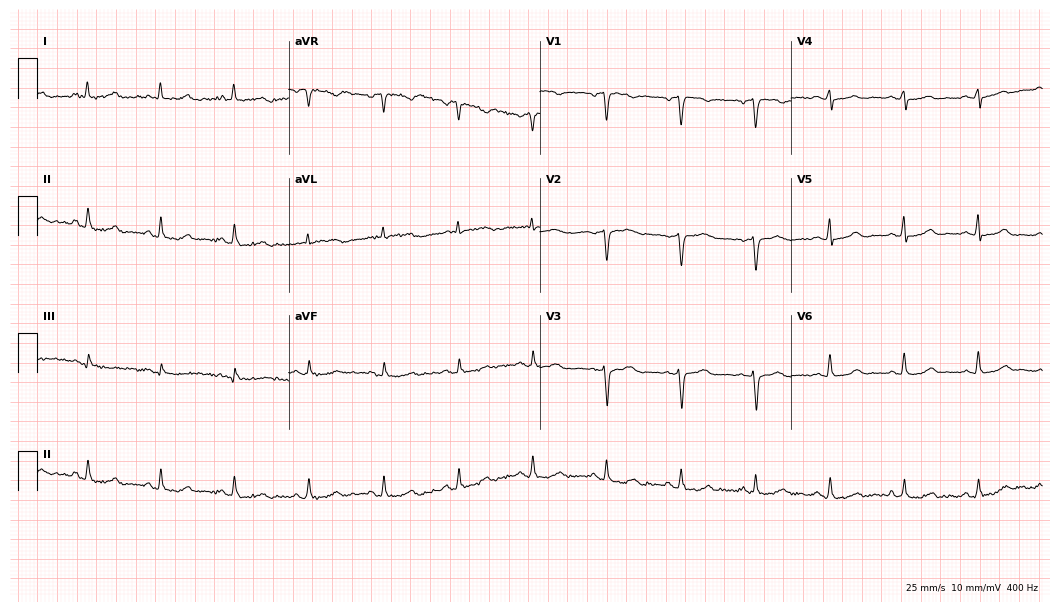
ECG (10.2-second recording at 400 Hz) — a female patient, 54 years old. Screened for six findings — first-degree AV block, right bundle branch block (RBBB), left bundle branch block (LBBB), sinus bradycardia, atrial fibrillation (AF), sinus tachycardia — none is recorded. Only these six findings were labelled.